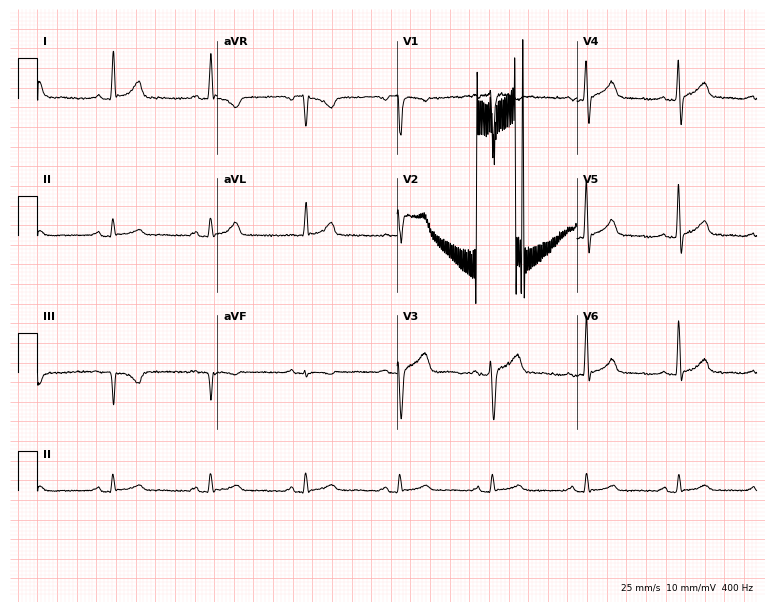
12-lead ECG from a male patient, 58 years old. Recorded interpretation: within normal limits.